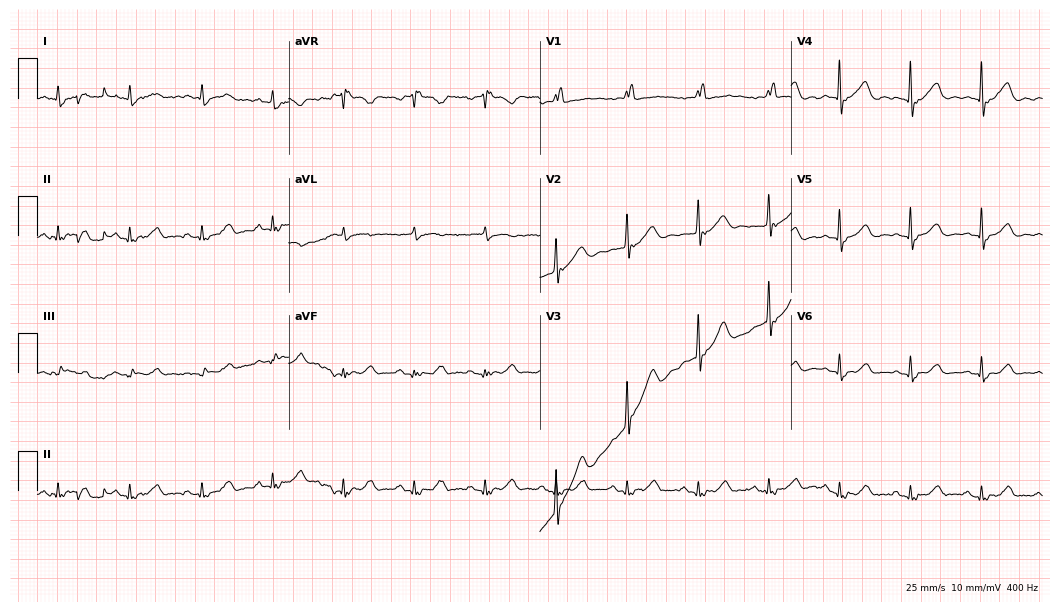
Resting 12-lead electrocardiogram (10.2-second recording at 400 Hz). Patient: a female, 84 years old. None of these six findings is recorded: first-degree AV block, right bundle branch block, left bundle branch block, sinus bradycardia, atrial fibrillation, sinus tachycardia.